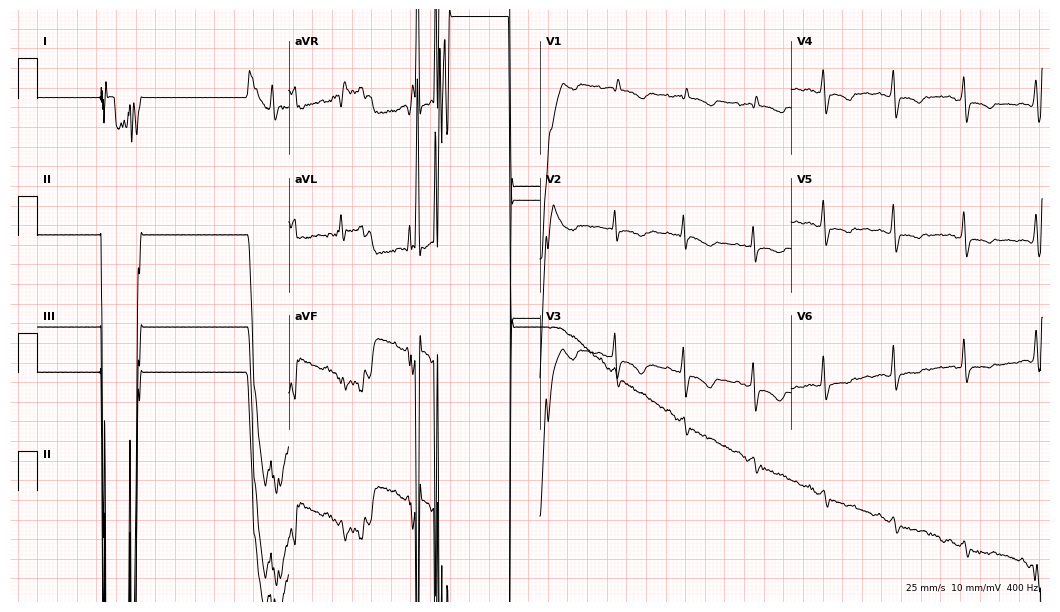
Resting 12-lead electrocardiogram (10.2-second recording at 400 Hz). Patient: a female, 81 years old. None of these six findings is recorded: first-degree AV block, right bundle branch block, left bundle branch block, sinus bradycardia, atrial fibrillation, sinus tachycardia. Only these six findings were labelled.